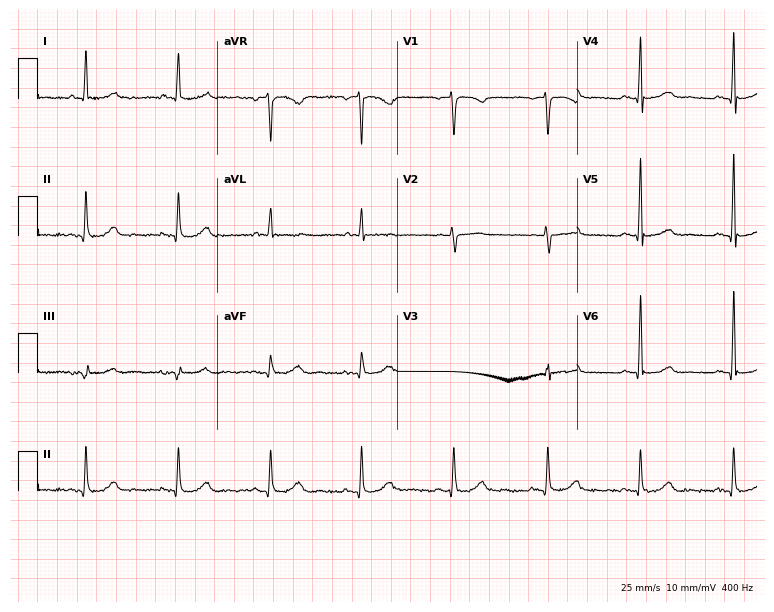
ECG — a woman, 67 years old. Screened for six findings — first-degree AV block, right bundle branch block, left bundle branch block, sinus bradycardia, atrial fibrillation, sinus tachycardia — none is recorded.